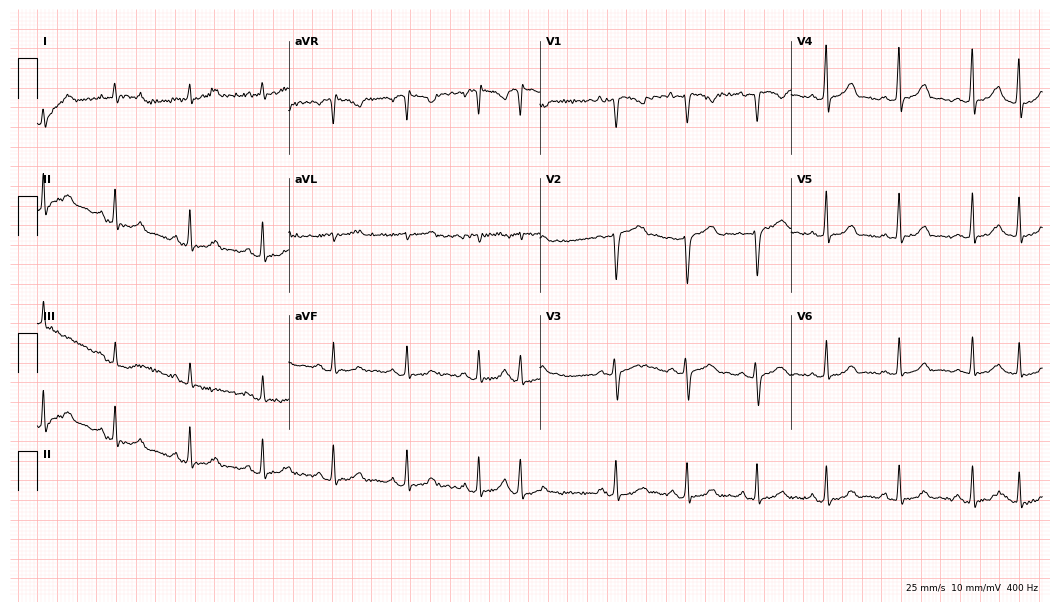
12-lead ECG from a female, 32 years old (10.2-second recording at 400 Hz). Recorded interpretation: within normal limits.